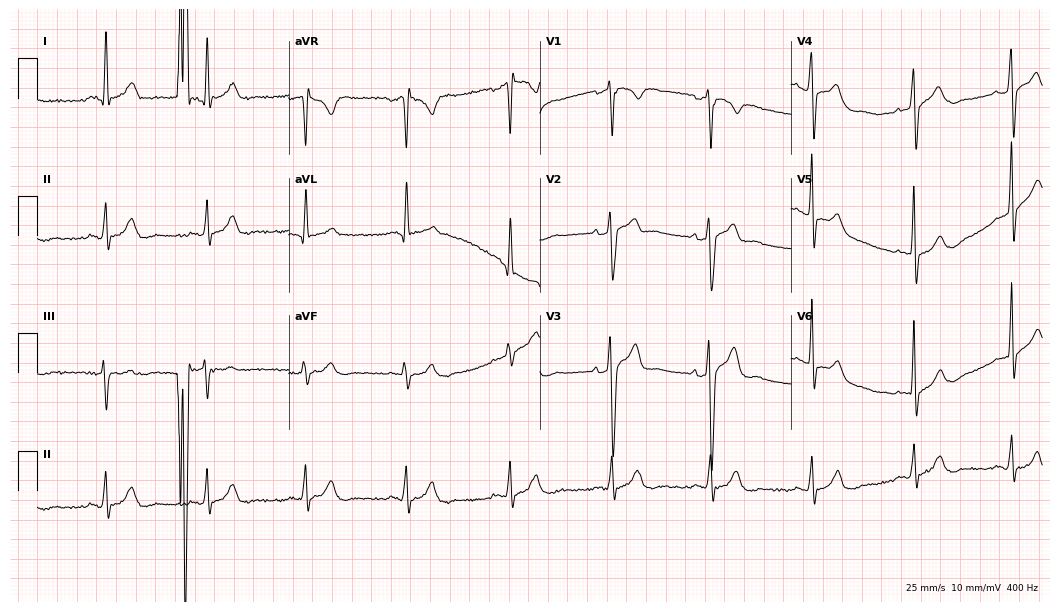
Standard 12-lead ECG recorded from a 41-year-old male patient (10.2-second recording at 400 Hz). None of these six findings is recorded: first-degree AV block, right bundle branch block, left bundle branch block, sinus bradycardia, atrial fibrillation, sinus tachycardia.